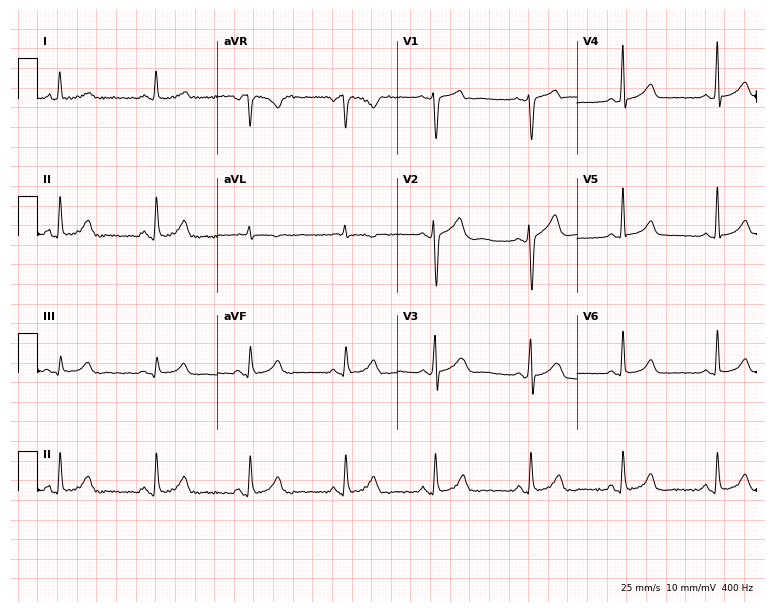
Resting 12-lead electrocardiogram. Patient: a female, 32 years old. None of these six findings is recorded: first-degree AV block, right bundle branch block (RBBB), left bundle branch block (LBBB), sinus bradycardia, atrial fibrillation (AF), sinus tachycardia.